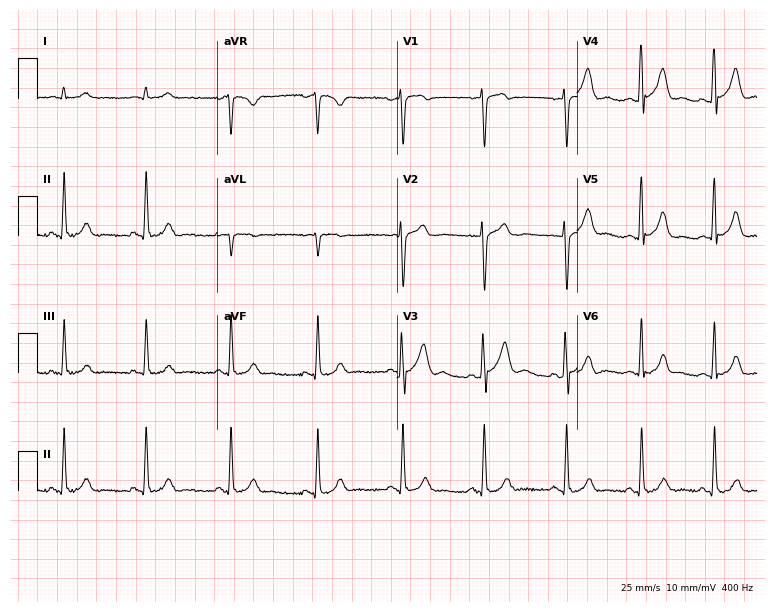
Resting 12-lead electrocardiogram. Patient: a 25-year-old man. None of these six findings is recorded: first-degree AV block, right bundle branch block, left bundle branch block, sinus bradycardia, atrial fibrillation, sinus tachycardia.